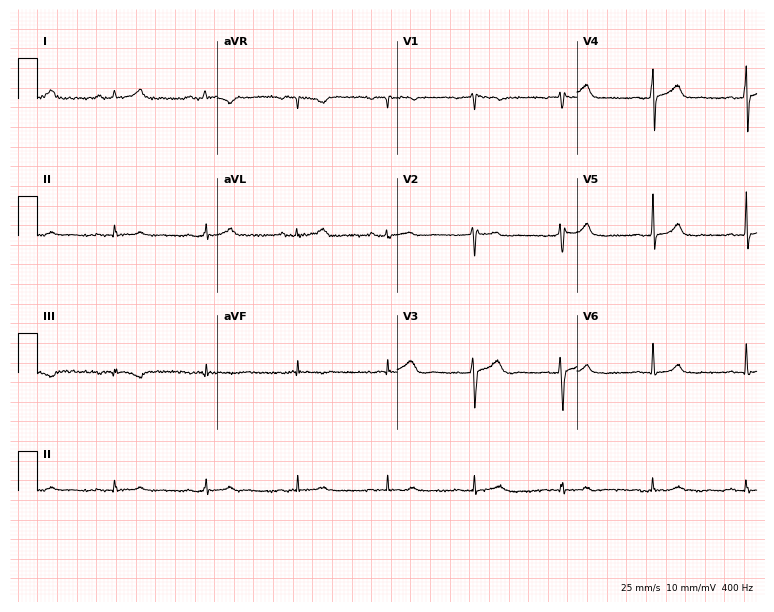
Electrocardiogram (7.3-second recording at 400 Hz), a male, 40 years old. Overall reading on record: normal ECG.